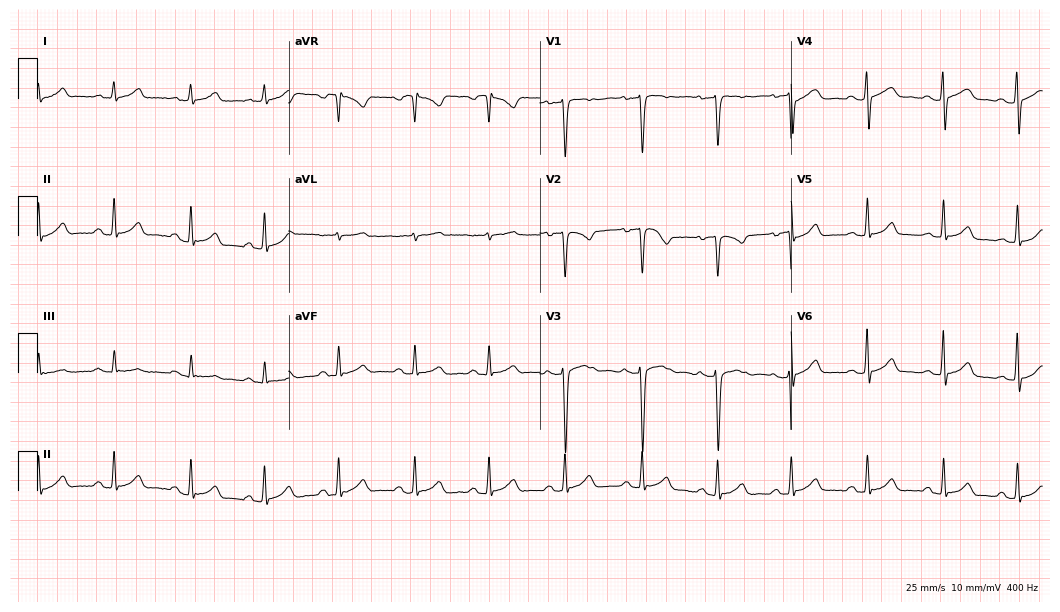
12-lead ECG (10.2-second recording at 400 Hz) from a woman, 19 years old. Labelled as a normal ECG.